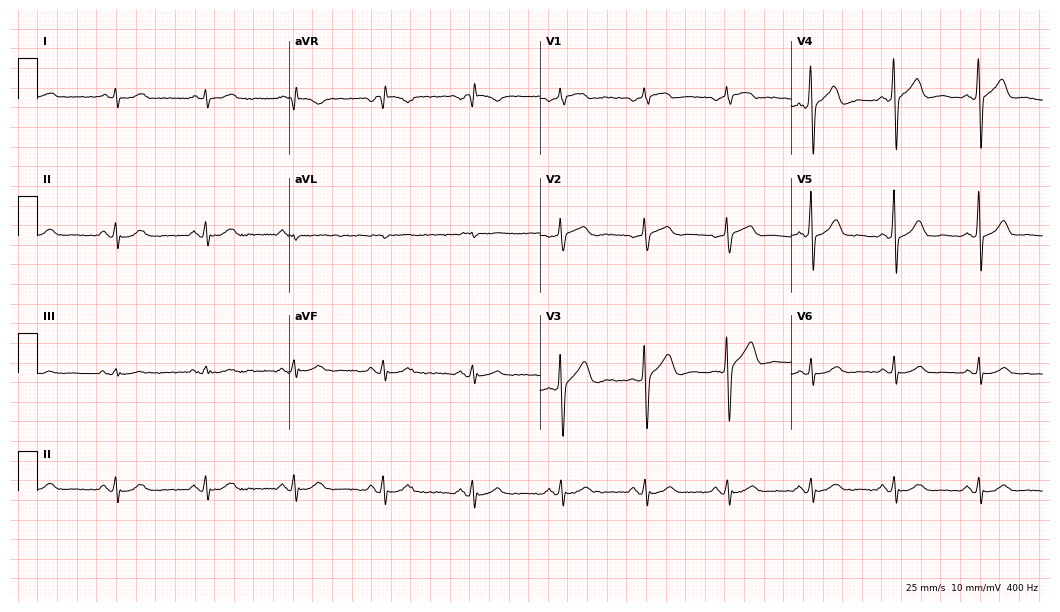
Resting 12-lead electrocardiogram. Patient: a 76-year-old male. Read as a normal ECG.